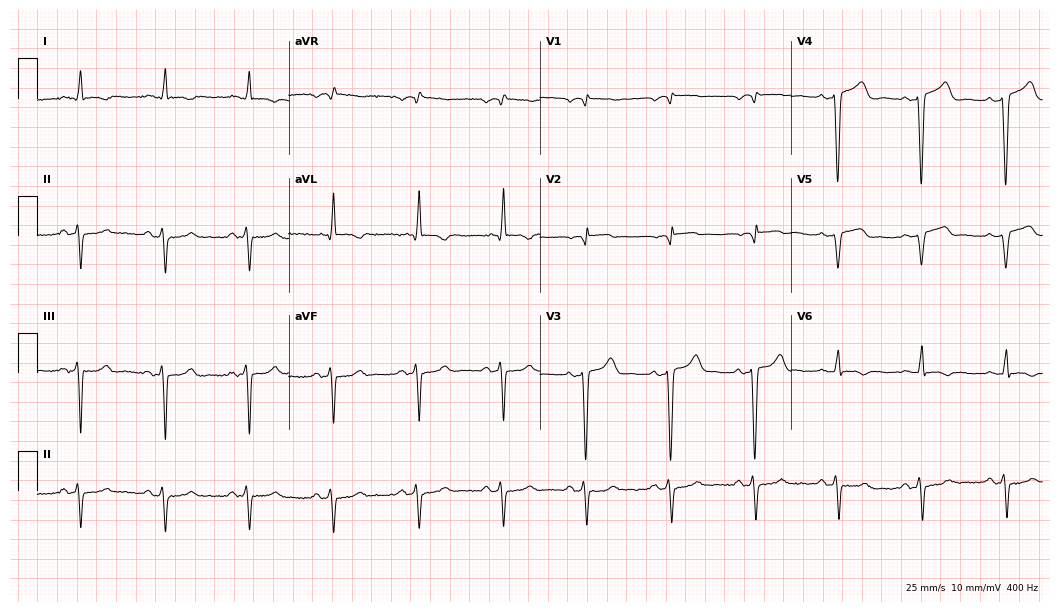
ECG — a 78-year-old female. Screened for six findings — first-degree AV block, right bundle branch block, left bundle branch block, sinus bradycardia, atrial fibrillation, sinus tachycardia — none is recorded.